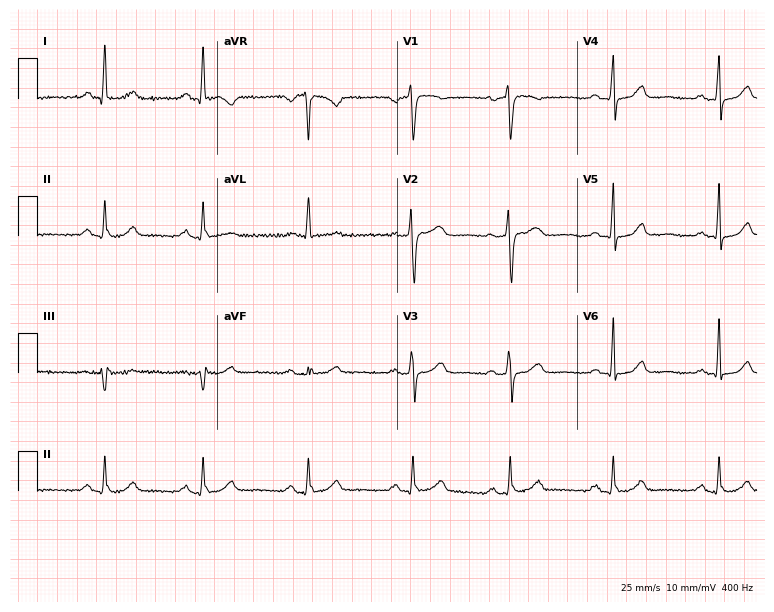
ECG (7.3-second recording at 400 Hz) — a 61-year-old female patient. Labelled as a normal ECG.